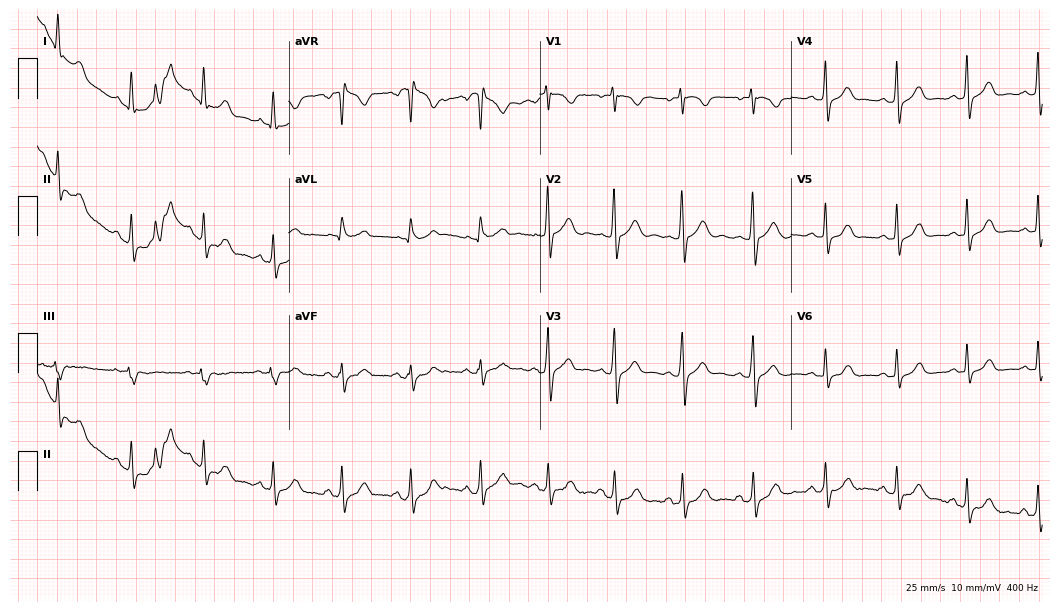
Standard 12-lead ECG recorded from a woman, 22 years old. None of these six findings is recorded: first-degree AV block, right bundle branch block (RBBB), left bundle branch block (LBBB), sinus bradycardia, atrial fibrillation (AF), sinus tachycardia. Only these six findings were labelled.